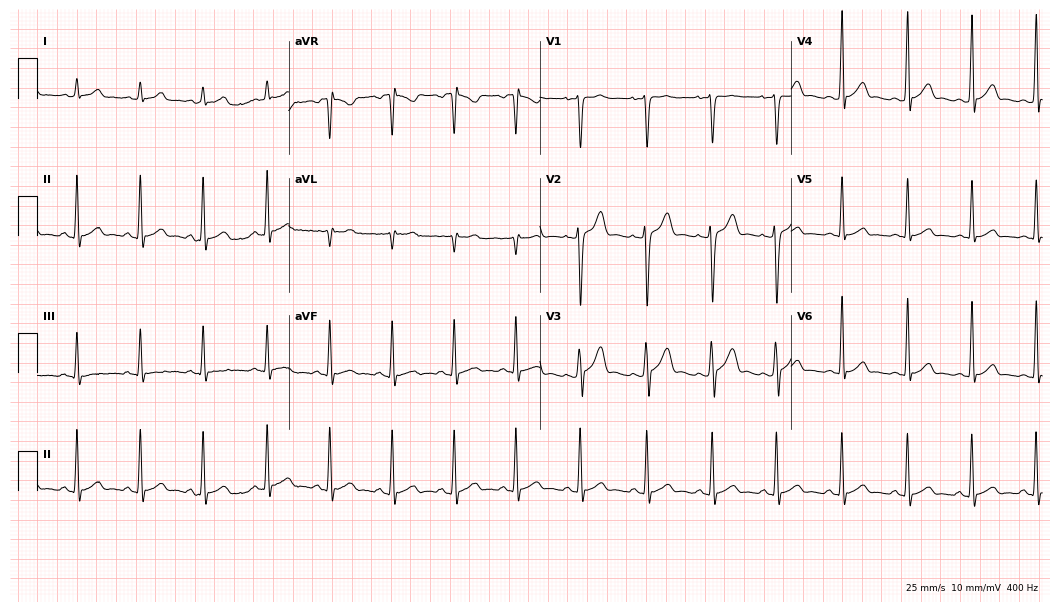
Standard 12-lead ECG recorded from a 20-year-old man. None of these six findings is recorded: first-degree AV block, right bundle branch block, left bundle branch block, sinus bradycardia, atrial fibrillation, sinus tachycardia.